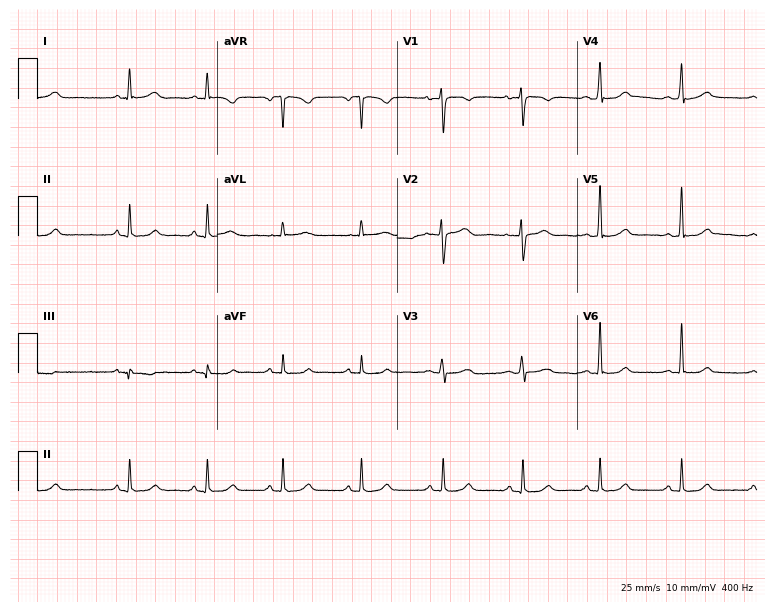
12-lead ECG (7.3-second recording at 400 Hz) from a 43-year-old woman. Screened for six findings — first-degree AV block, right bundle branch block, left bundle branch block, sinus bradycardia, atrial fibrillation, sinus tachycardia — none is recorded.